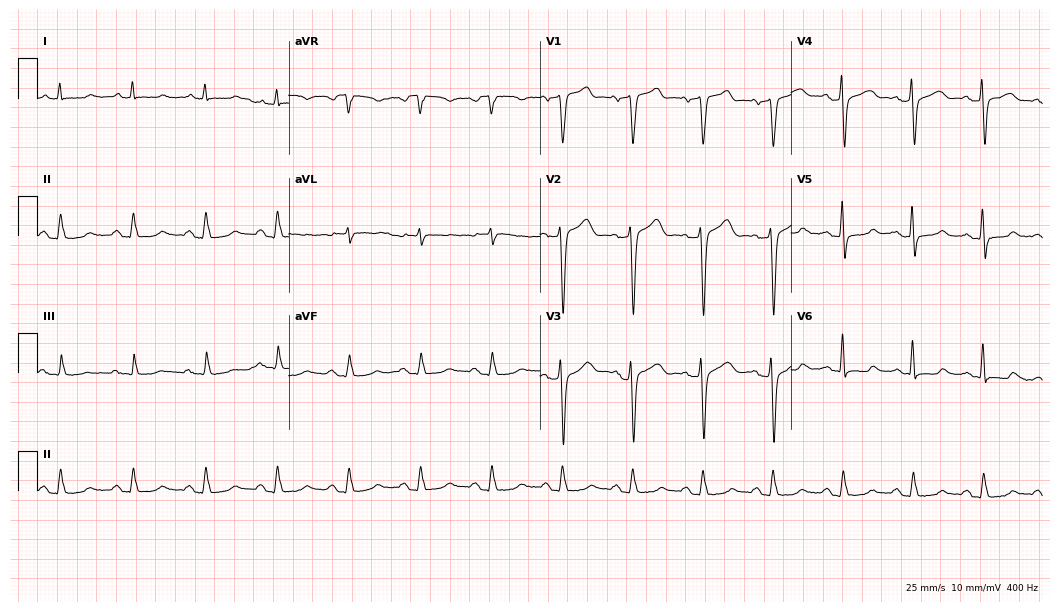
Electrocardiogram (10.2-second recording at 400 Hz), a female, 77 years old. Overall reading on record: normal ECG.